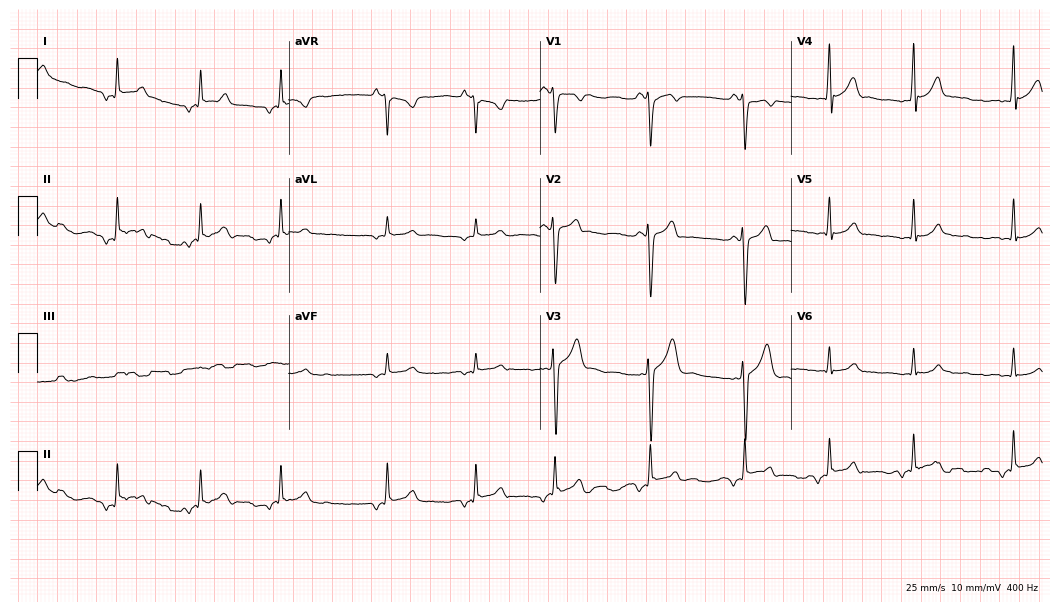
Resting 12-lead electrocardiogram (10.2-second recording at 400 Hz). Patient: a male, 21 years old. None of these six findings is recorded: first-degree AV block, right bundle branch block, left bundle branch block, sinus bradycardia, atrial fibrillation, sinus tachycardia. Only these six findings were labelled.